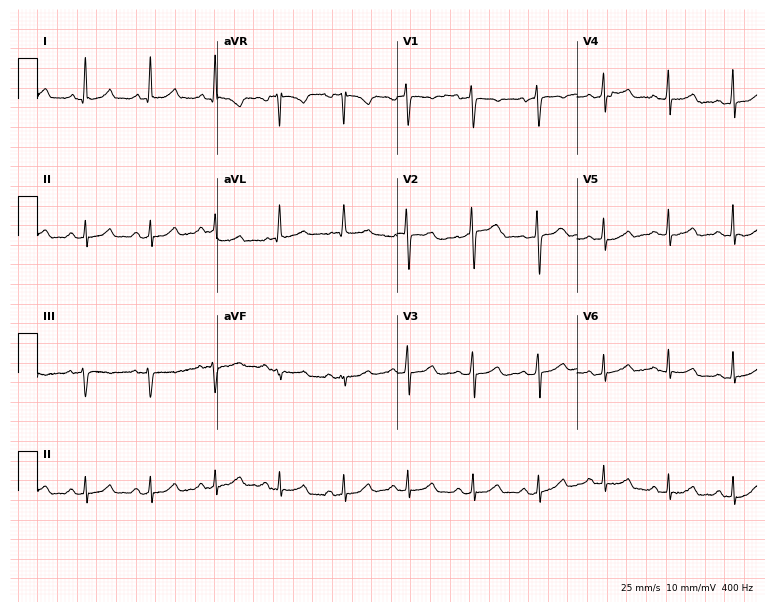
12-lead ECG from a female patient, 62 years old (7.3-second recording at 400 Hz). Recorded interpretation: within normal limits.